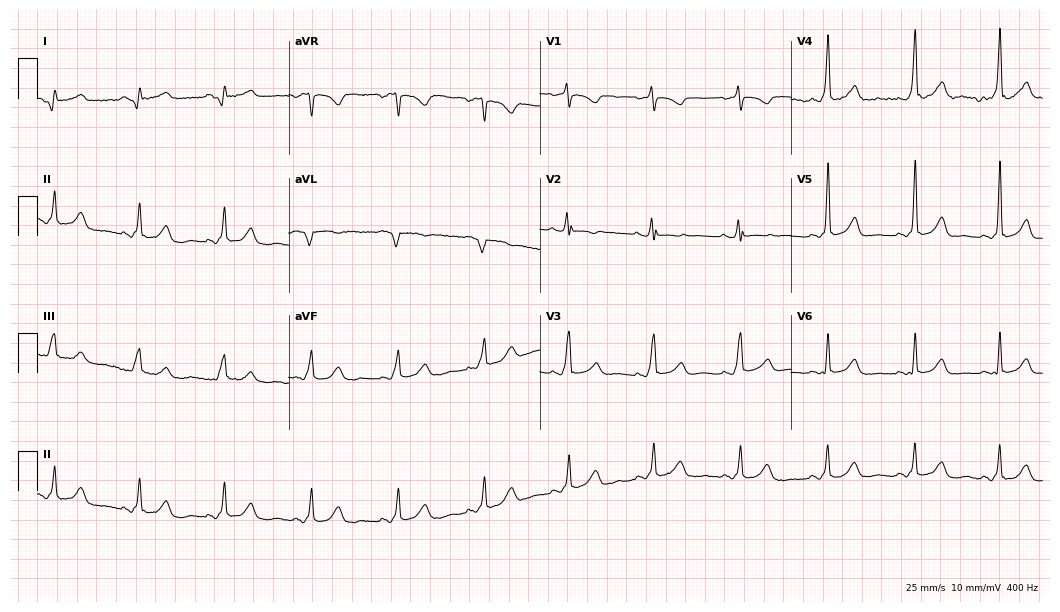
Resting 12-lead electrocardiogram. Patient: a woman, 51 years old. None of these six findings is recorded: first-degree AV block, right bundle branch block, left bundle branch block, sinus bradycardia, atrial fibrillation, sinus tachycardia.